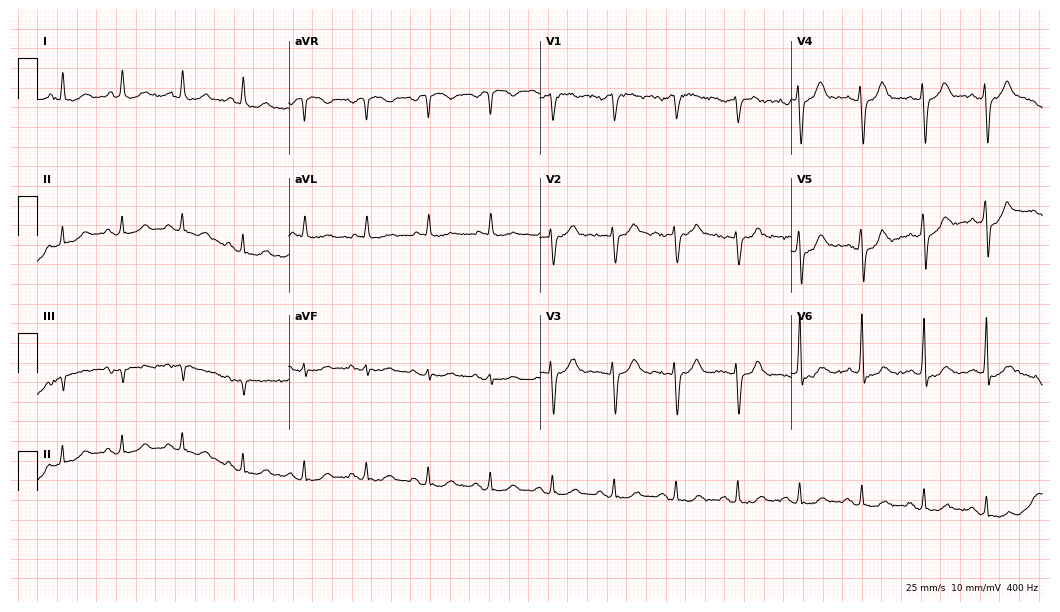
ECG (10.2-second recording at 400 Hz) — a 74-year-old male. Labelled as a normal ECG.